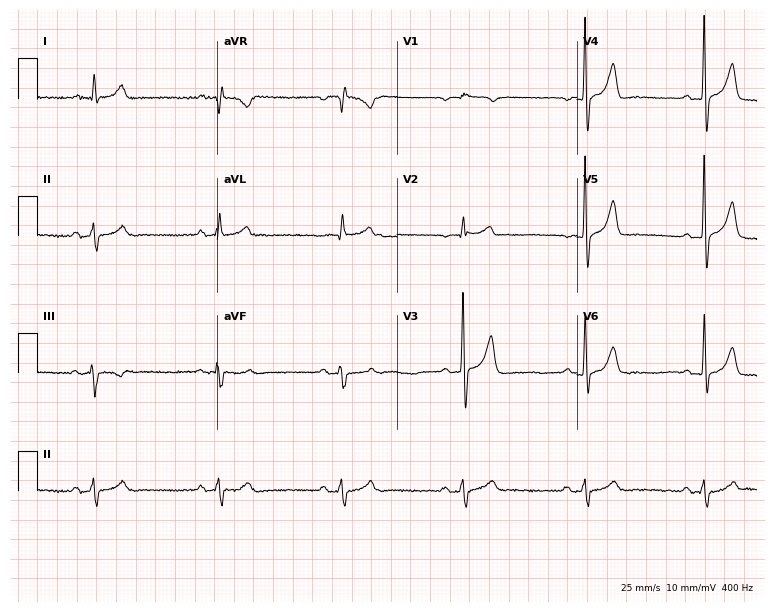
12-lead ECG from a man, 71 years old (7.3-second recording at 400 Hz). Shows sinus bradycardia (a sinus rate of 50 beats per minute or less).